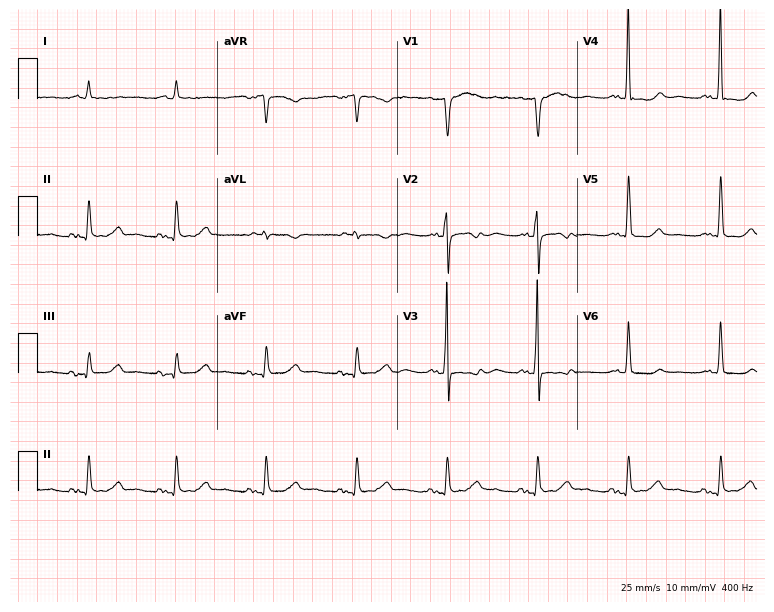
12-lead ECG from a female patient, 79 years old. Labelled as a normal ECG.